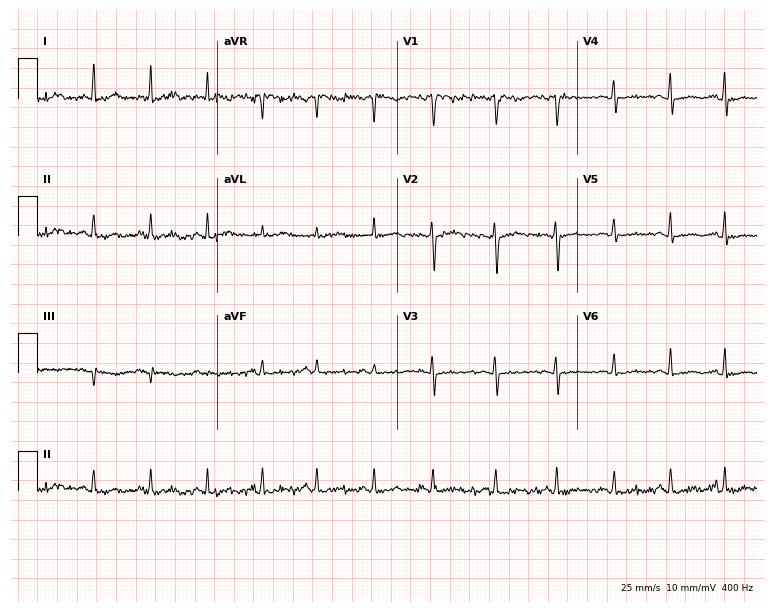
Resting 12-lead electrocardiogram (7.3-second recording at 400 Hz). Patient: a 47-year-old female. None of these six findings is recorded: first-degree AV block, right bundle branch block (RBBB), left bundle branch block (LBBB), sinus bradycardia, atrial fibrillation (AF), sinus tachycardia.